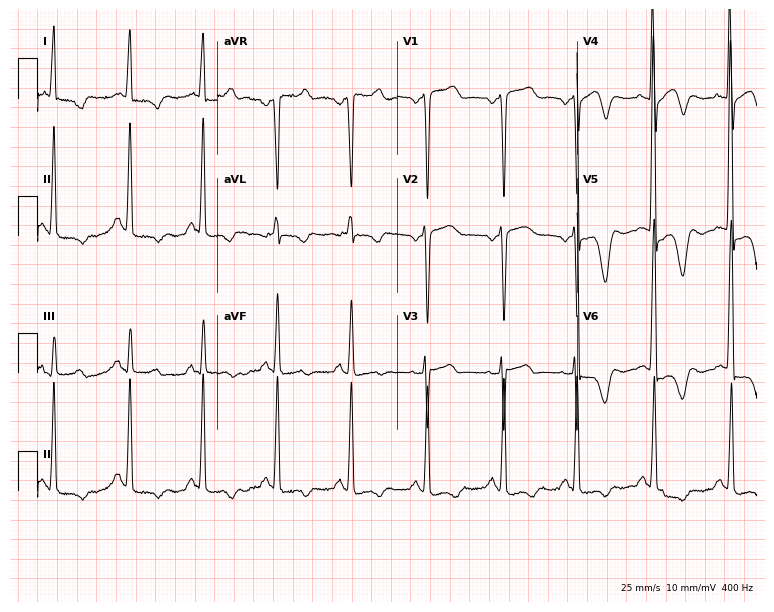
Resting 12-lead electrocardiogram (7.3-second recording at 400 Hz). Patient: a 69-year-old woman. None of these six findings is recorded: first-degree AV block, right bundle branch block, left bundle branch block, sinus bradycardia, atrial fibrillation, sinus tachycardia. Other findings, if any, are not listed.